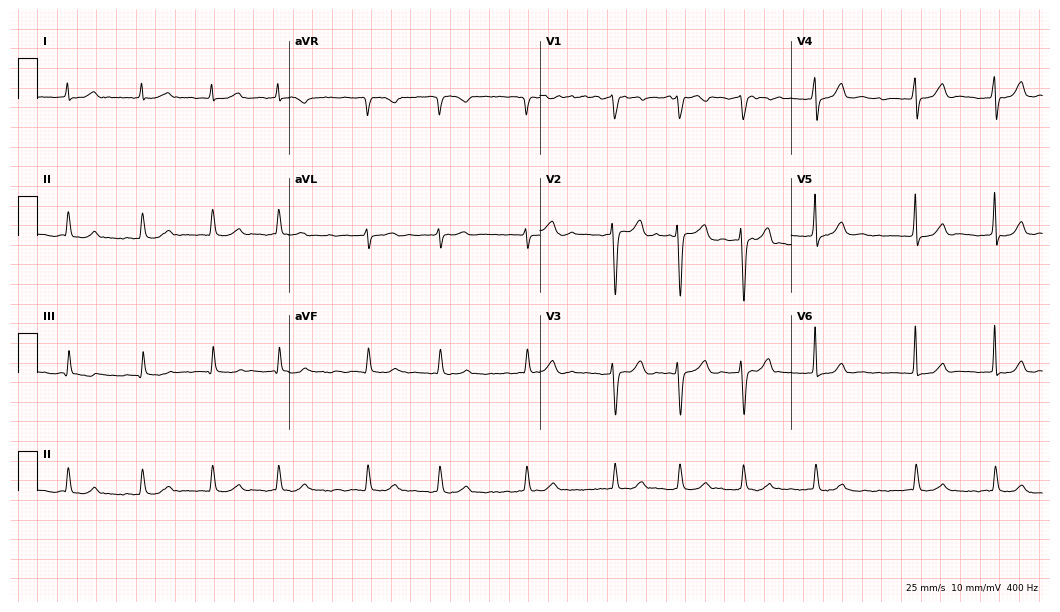
ECG (10.2-second recording at 400 Hz) — an 84-year-old female patient. Findings include atrial fibrillation (AF).